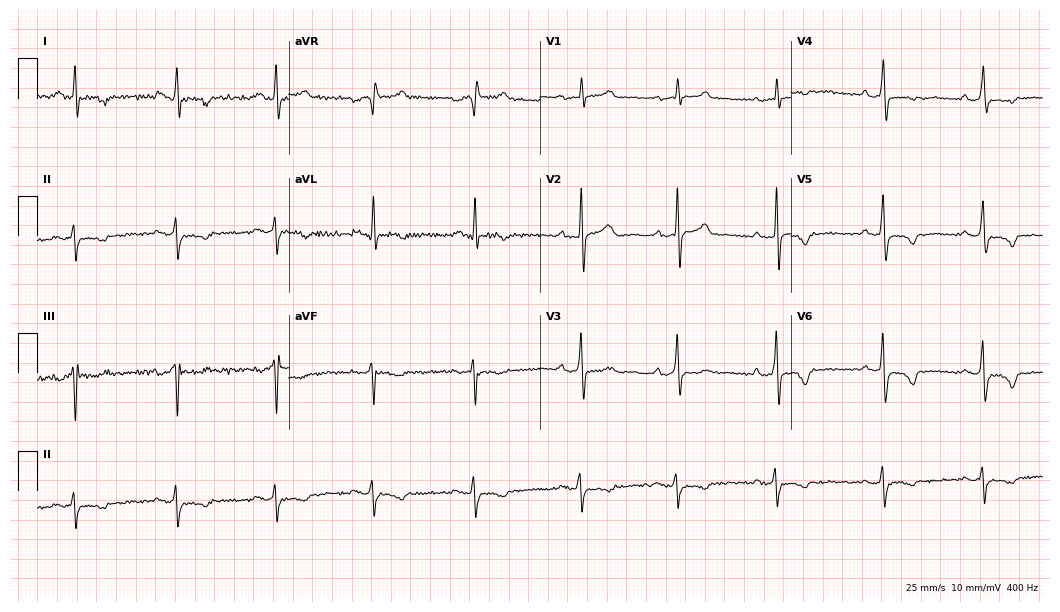
Standard 12-lead ECG recorded from a man, 84 years old (10.2-second recording at 400 Hz). None of these six findings is recorded: first-degree AV block, right bundle branch block, left bundle branch block, sinus bradycardia, atrial fibrillation, sinus tachycardia.